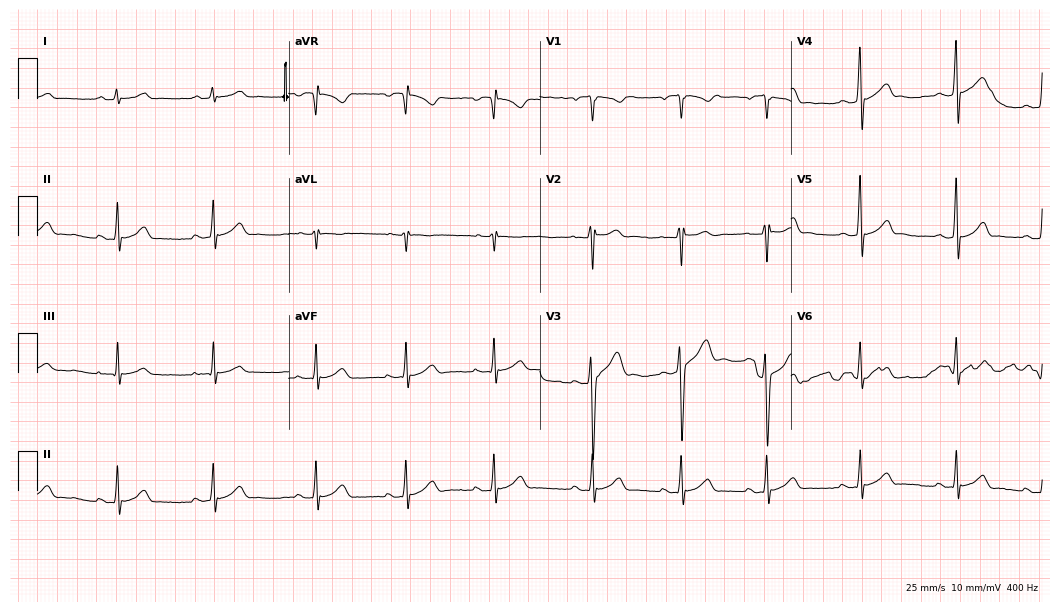
Standard 12-lead ECG recorded from a 17-year-old male patient. Read as a normal ECG.